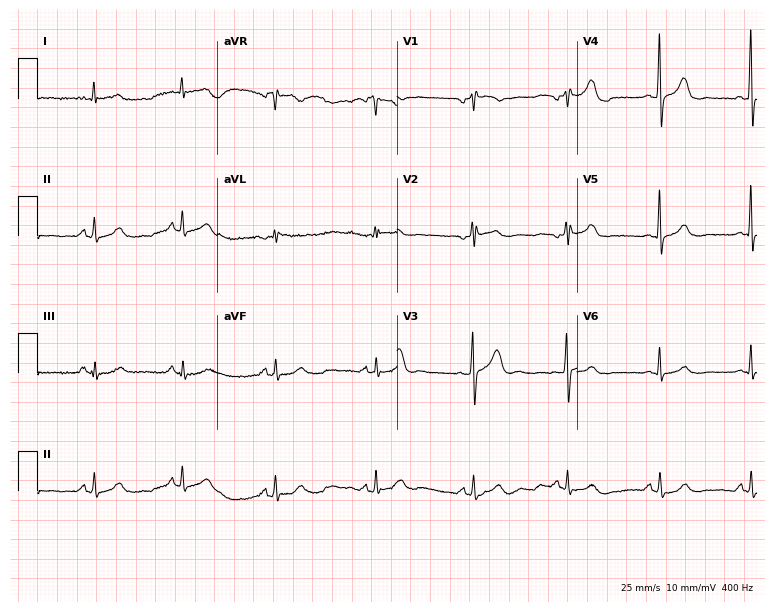
12-lead ECG (7.3-second recording at 400 Hz) from a 45-year-old male patient. Screened for six findings — first-degree AV block, right bundle branch block, left bundle branch block, sinus bradycardia, atrial fibrillation, sinus tachycardia — none is recorded.